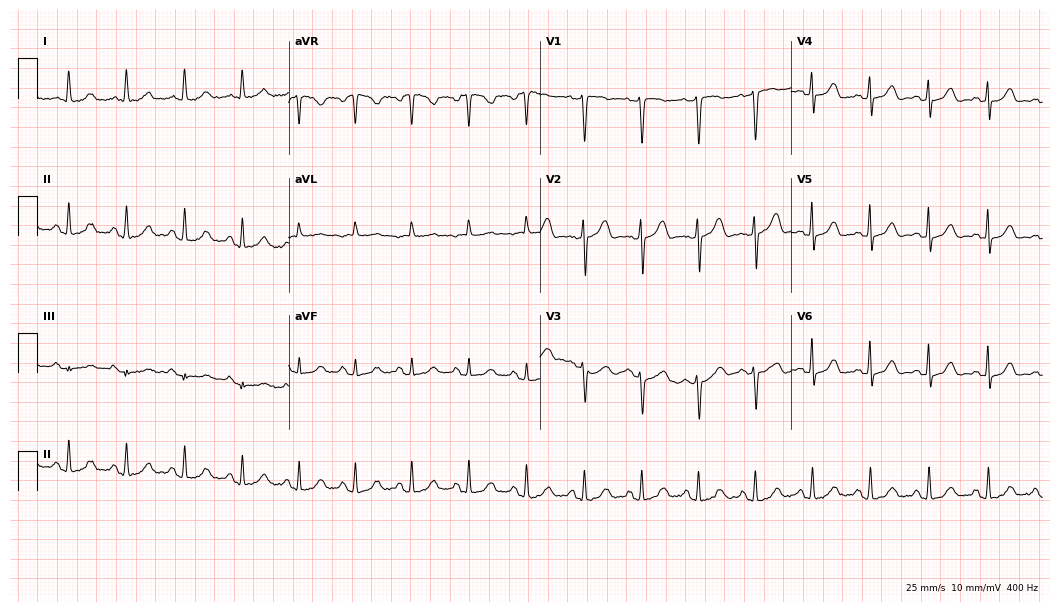
12-lead ECG (10.2-second recording at 400 Hz) from a 54-year-old female. Labelled as a normal ECG.